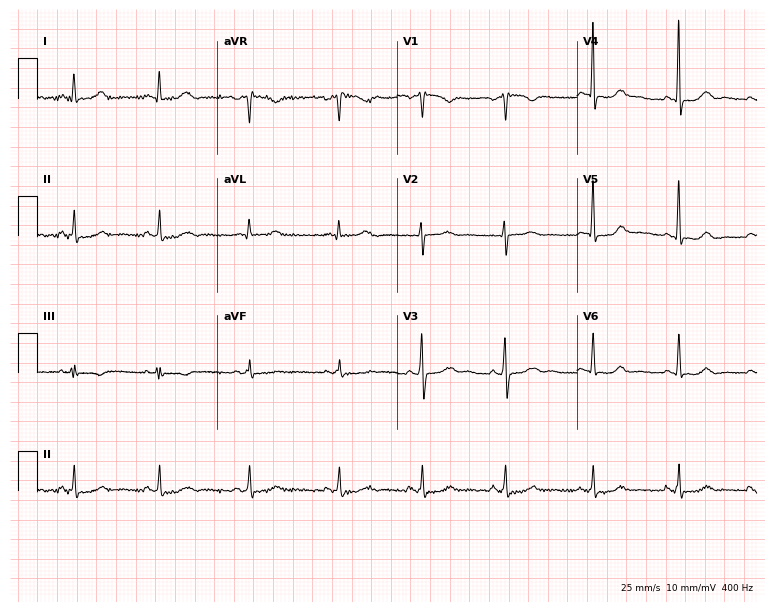
Resting 12-lead electrocardiogram. Patient: a 41-year-old female. None of these six findings is recorded: first-degree AV block, right bundle branch block, left bundle branch block, sinus bradycardia, atrial fibrillation, sinus tachycardia. Only these six findings were labelled.